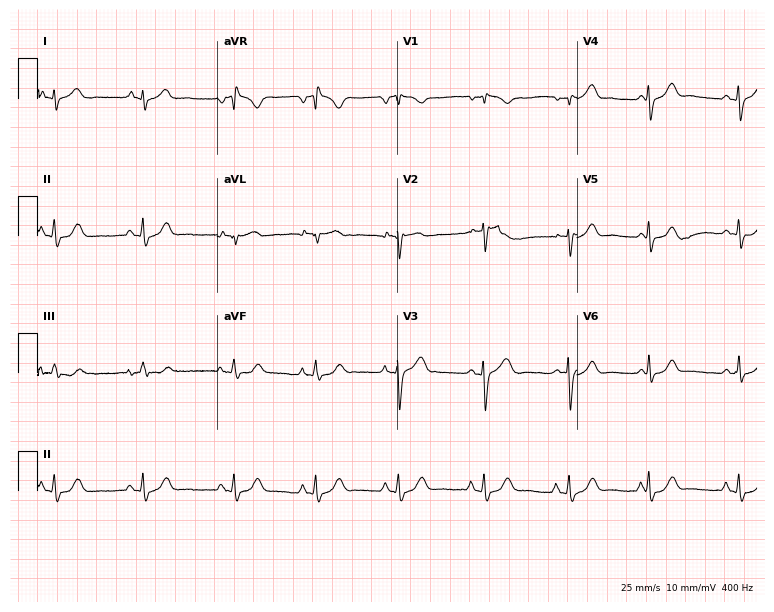
12-lead ECG from a 22-year-old female (7.3-second recording at 400 Hz). No first-degree AV block, right bundle branch block (RBBB), left bundle branch block (LBBB), sinus bradycardia, atrial fibrillation (AF) or sinus tachycardia recorded for this tracing.